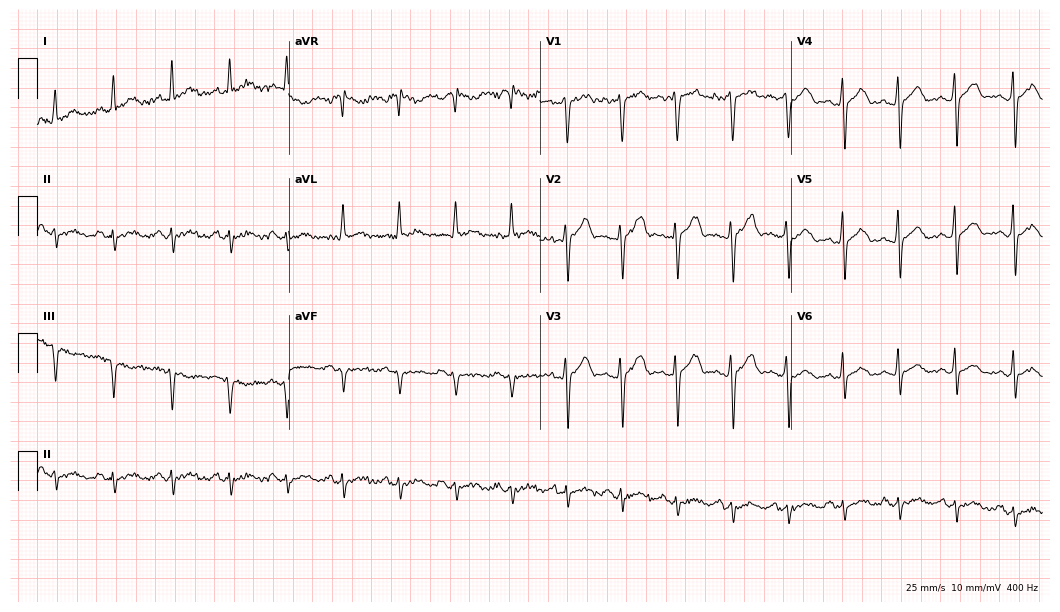
Resting 12-lead electrocardiogram (10.2-second recording at 400 Hz). Patient: a male, 33 years old. The tracing shows sinus tachycardia (a sinus rate of 100 beats per minute or more).